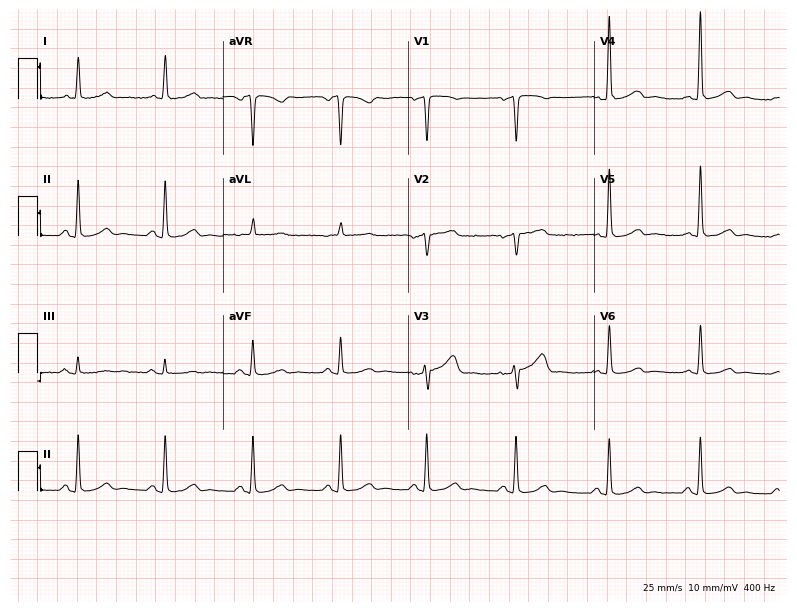
ECG — a male patient, 59 years old. Labelled as a normal ECG.